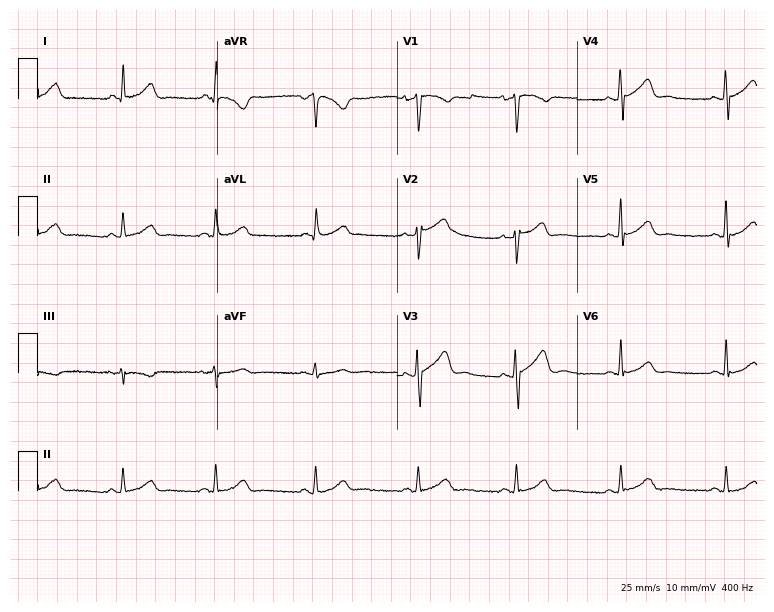
Standard 12-lead ECG recorded from a 32-year-old male. Read as a normal ECG.